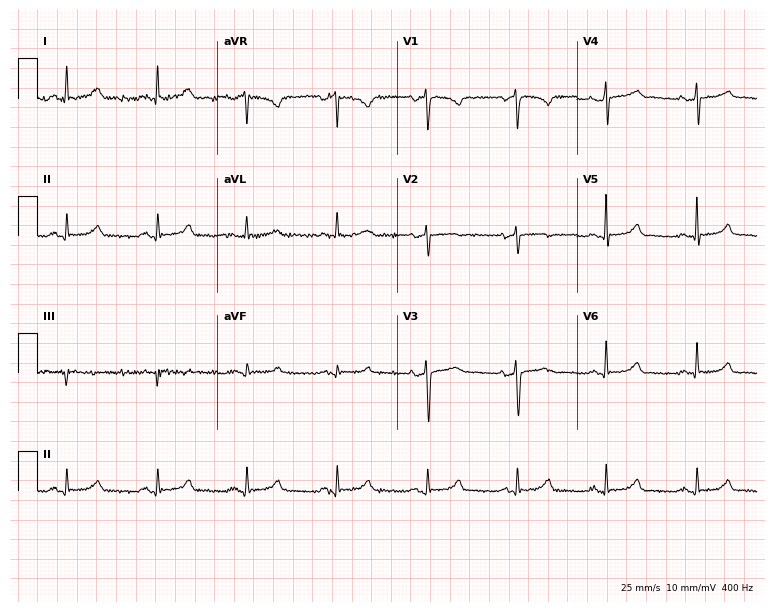
Electrocardiogram, a 46-year-old female. Of the six screened findings (first-degree AV block, right bundle branch block, left bundle branch block, sinus bradycardia, atrial fibrillation, sinus tachycardia), none is recorded. Findings outside these six are not listed.